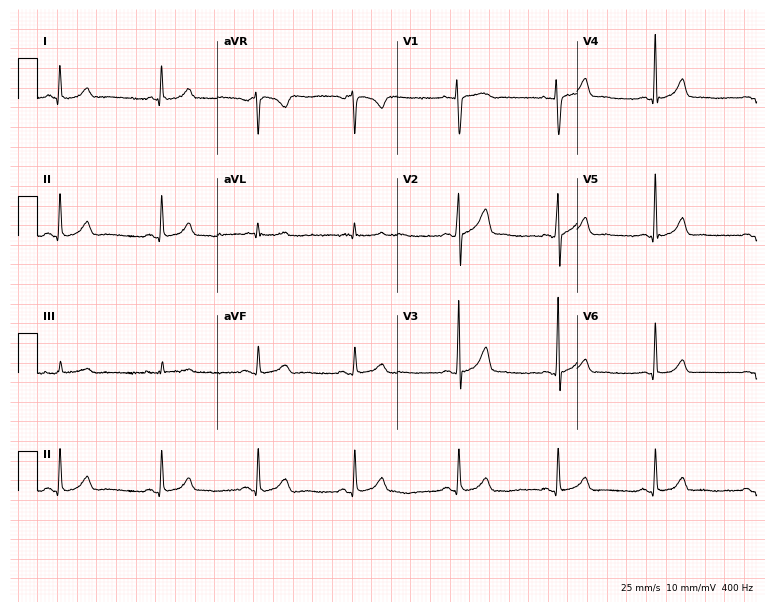
Standard 12-lead ECG recorded from a 29-year-old female patient (7.3-second recording at 400 Hz). Read as a normal ECG.